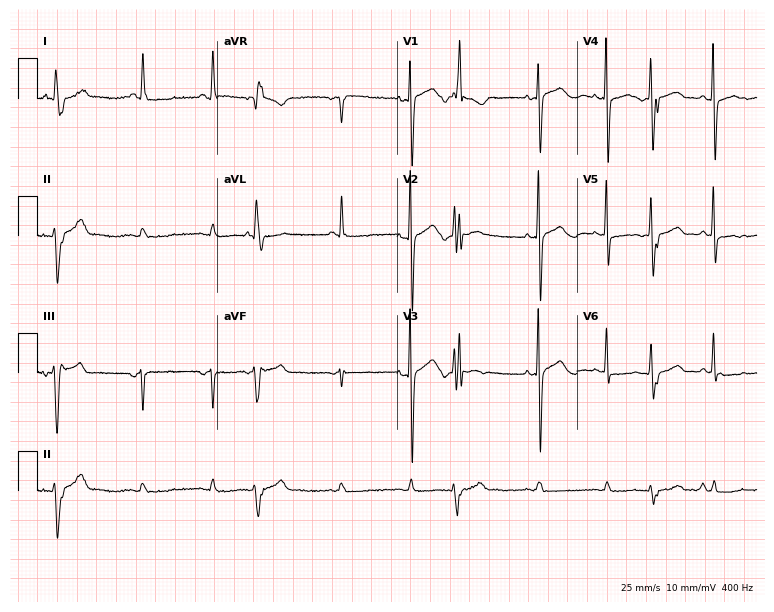
Electrocardiogram, an 82-year-old woman. Of the six screened findings (first-degree AV block, right bundle branch block, left bundle branch block, sinus bradycardia, atrial fibrillation, sinus tachycardia), none is recorded.